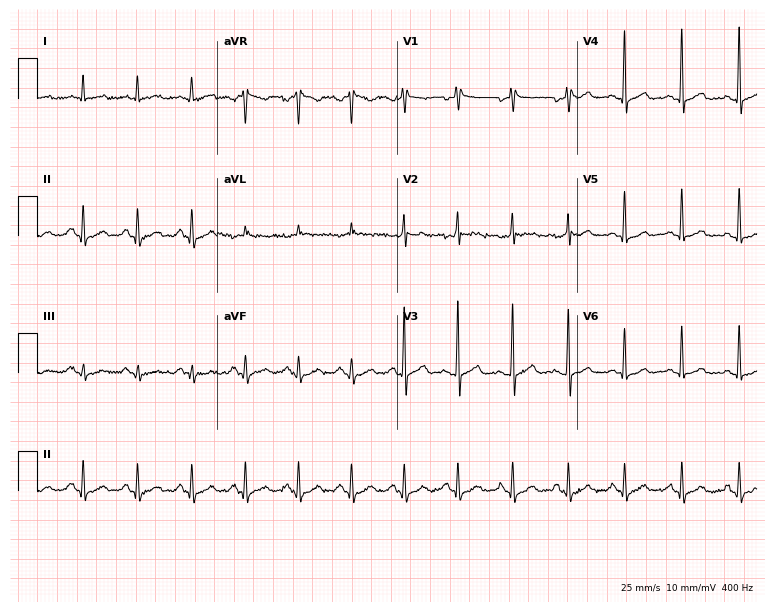
12-lead ECG from a man, 58 years old. Shows sinus tachycardia (a sinus rate of 100 beats per minute or more).